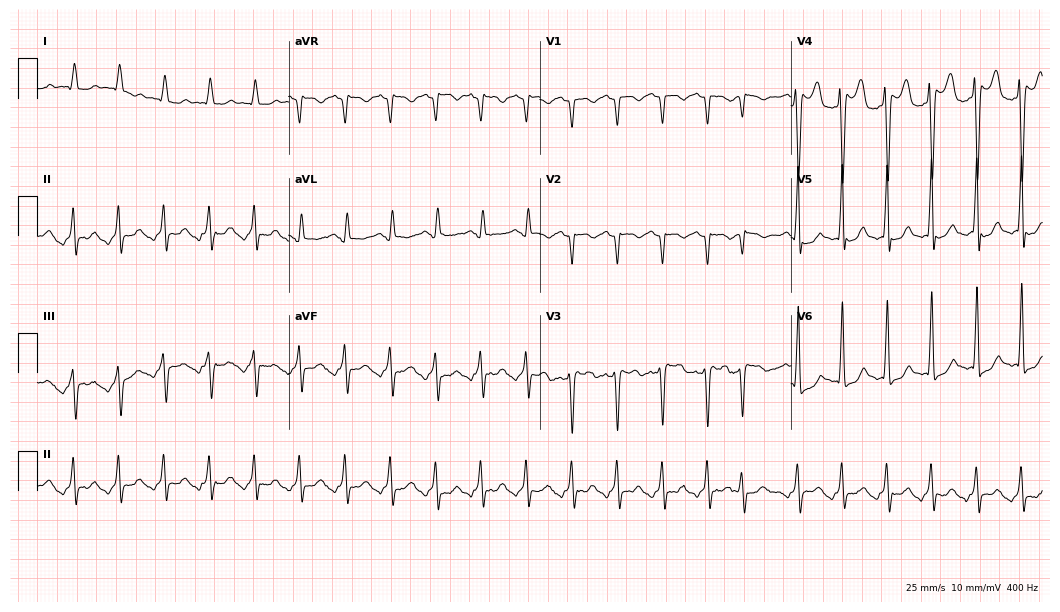
Electrocardiogram, an 82-year-old man. Of the six screened findings (first-degree AV block, right bundle branch block, left bundle branch block, sinus bradycardia, atrial fibrillation, sinus tachycardia), none is recorded.